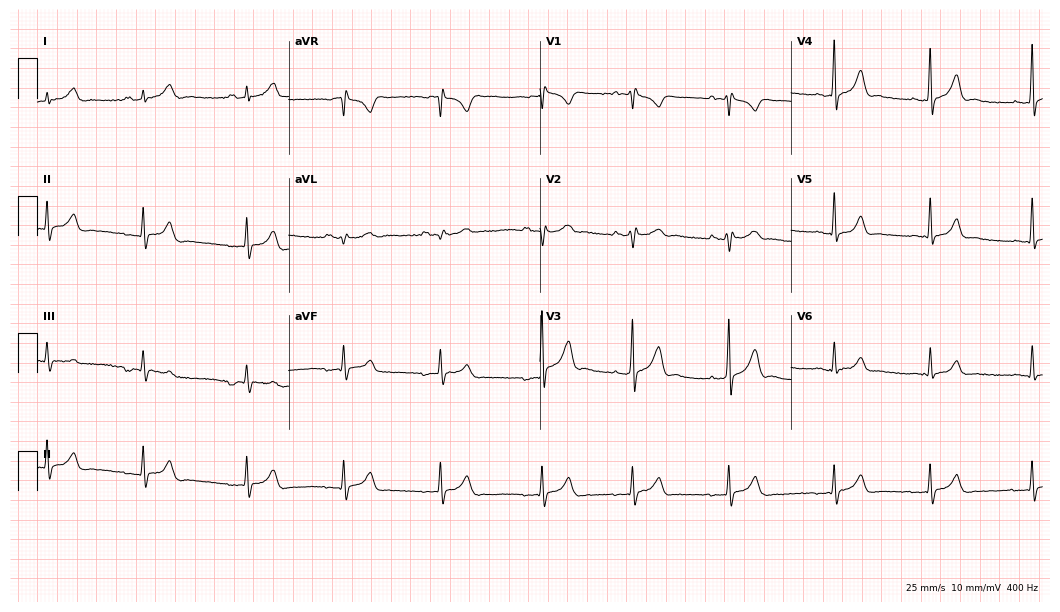
ECG — a 24-year-old man. Screened for six findings — first-degree AV block, right bundle branch block, left bundle branch block, sinus bradycardia, atrial fibrillation, sinus tachycardia — none is recorded.